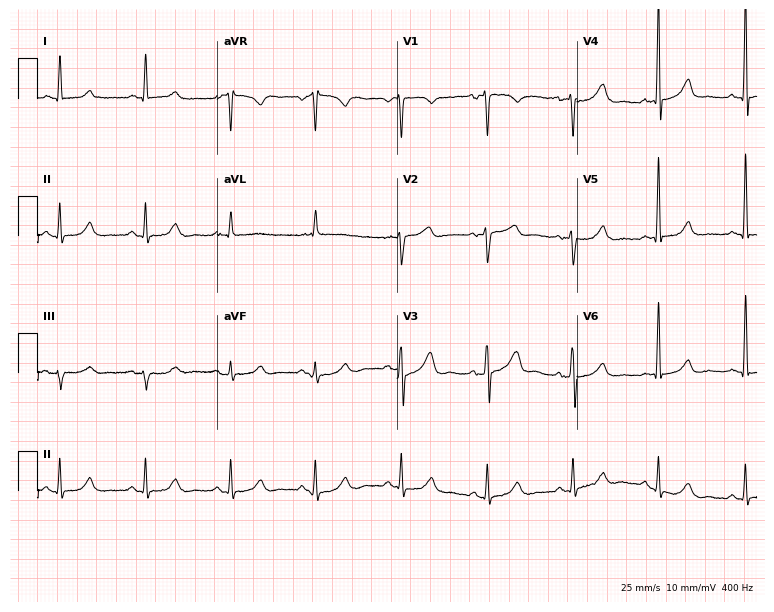
ECG (7.3-second recording at 400 Hz) — a female patient, 55 years old. Labelled as a normal ECG.